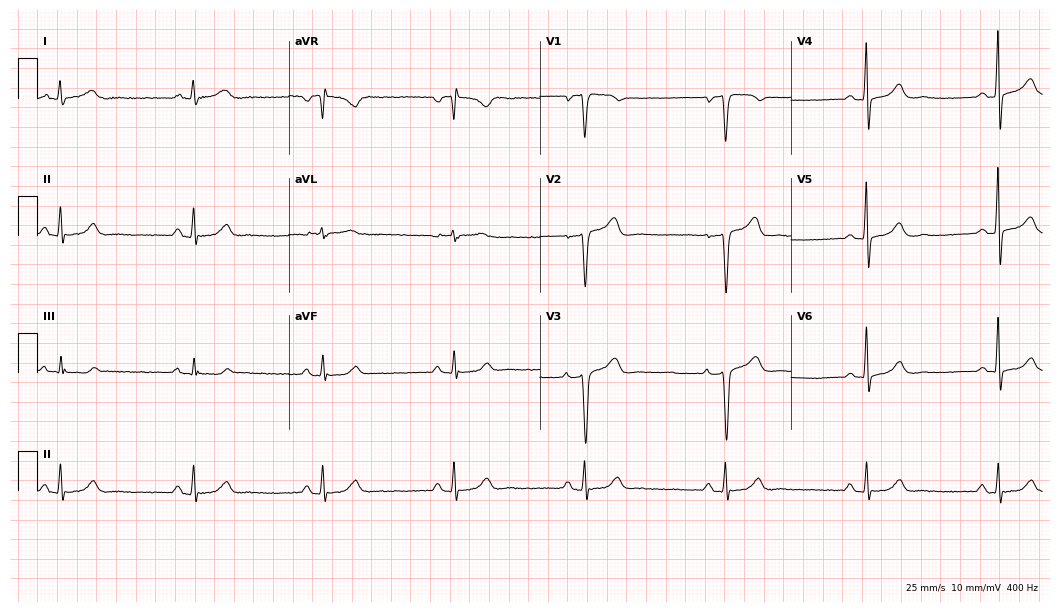
12-lead ECG from a 64-year-old man. Findings include sinus bradycardia (a sinus rate of 50 beats per minute or less).